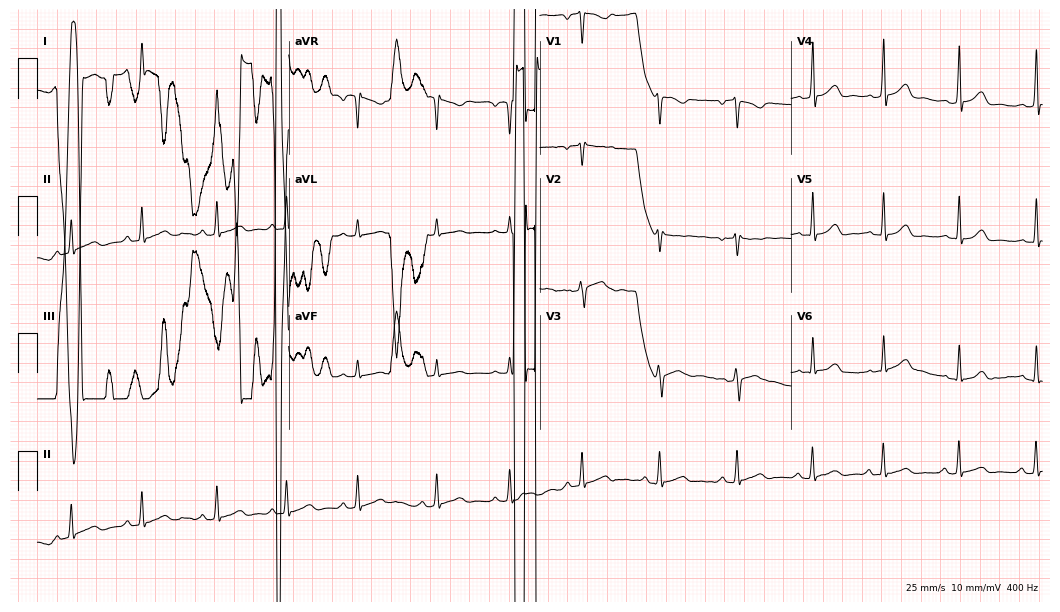
Electrocardiogram (10.2-second recording at 400 Hz), a woman, 19 years old. Of the six screened findings (first-degree AV block, right bundle branch block, left bundle branch block, sinus bradycardia, atrial fibrillation, sinus tachycardia), none is recorded. Other findings, if any, are not listed.